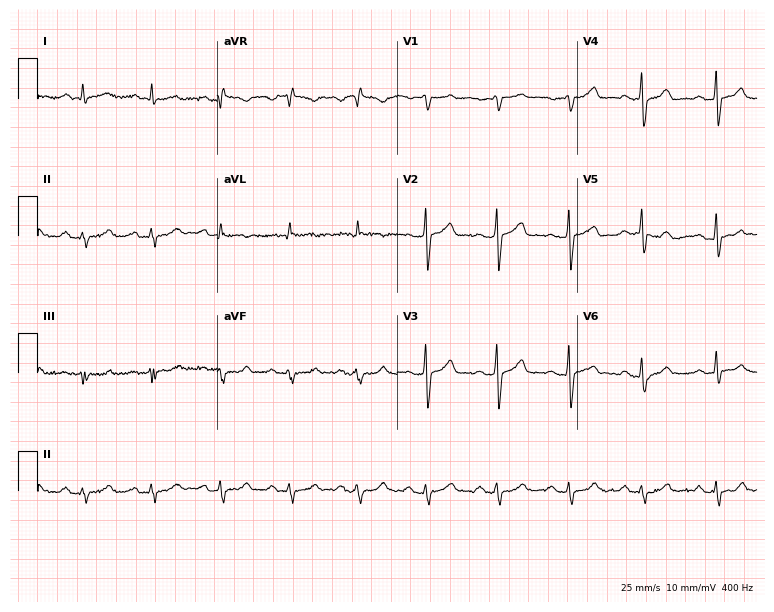
12-lead ECG from a male, 60 years old. No first-degree AV block, right bundle branch block (RBBB), left bundle branch block (LBBB), sinus bradycardia, atrial fibrillation (AF) or sinus tachycardia recorded for this tracing.